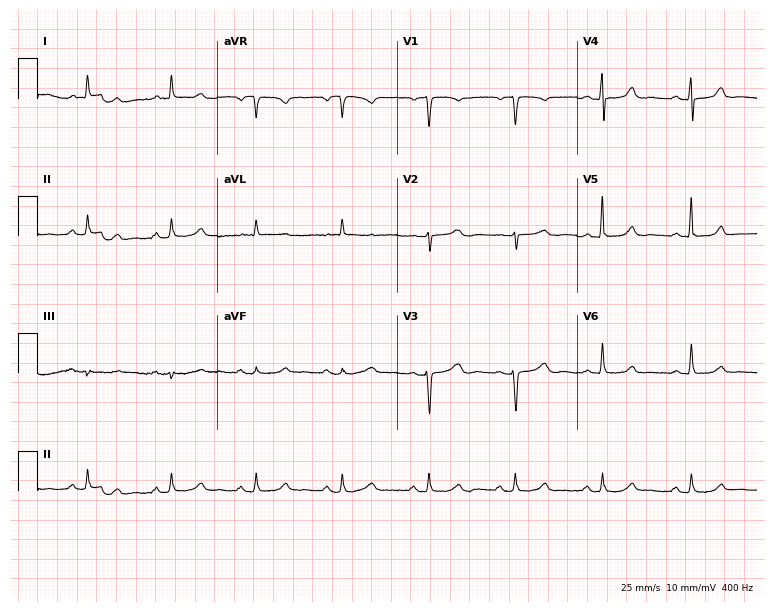
Electrocardiogram (7.3-second recording at 400 Hz), a 58-year-old female. Of the six screened findings (first-degree AV block, right bundle branch block, left bundle branch block, sinus bradycardia, atrial fibrillation, sinus tachycardia), none is recorded. Other findings, if any, are not listed.